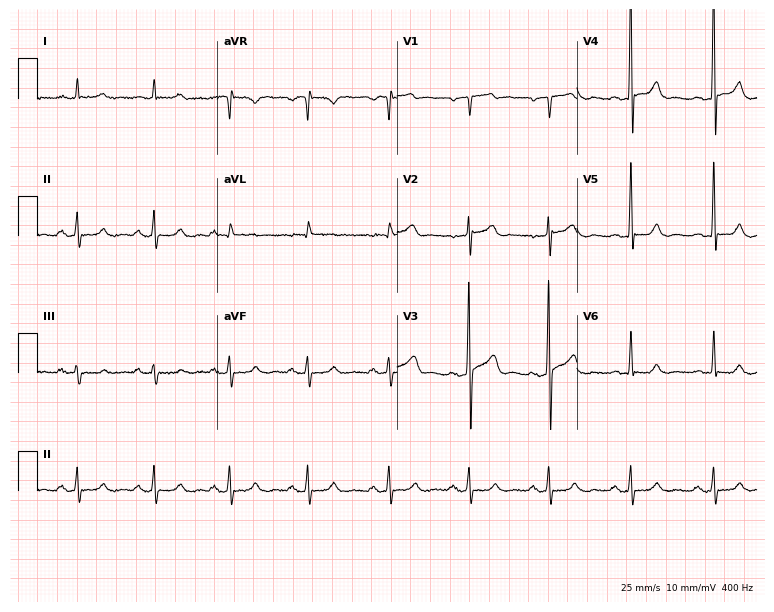
Resting 12-lead electrocardiogram. Patient: a 46-year-old man. None of these six findings is recorded: first-degree AV block, right bundle branch block, left bundle branch block, sinus bradycardia, atrial fibrillation, sinus tachycardia. Other findings, if any, are not listed.